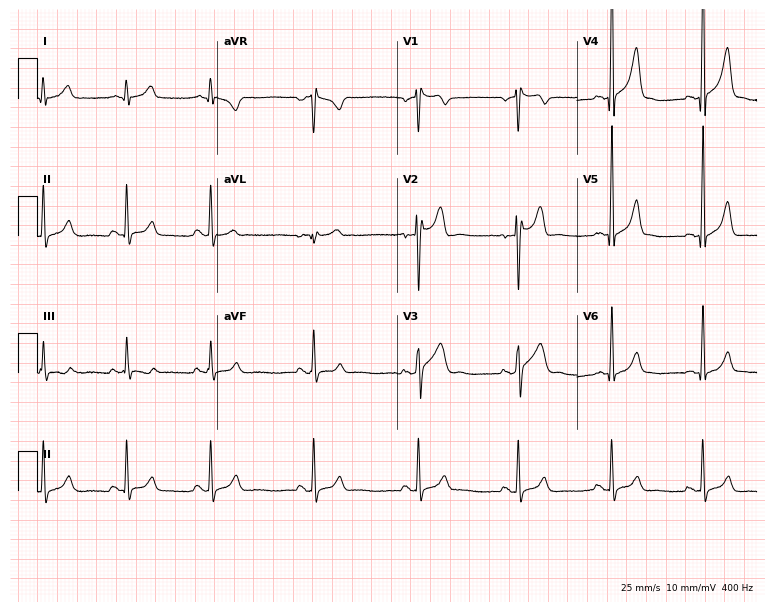
12-lead ECG from a 31-year-old male. Screened for six findings — first-degree AV block, right bundle branch block (RBBB), left bundle branch block (LBBB), sinus bradycardia, atrial fibrillation (AF), sinus tachycardia — none is recorded. Only these six findings were labelled.